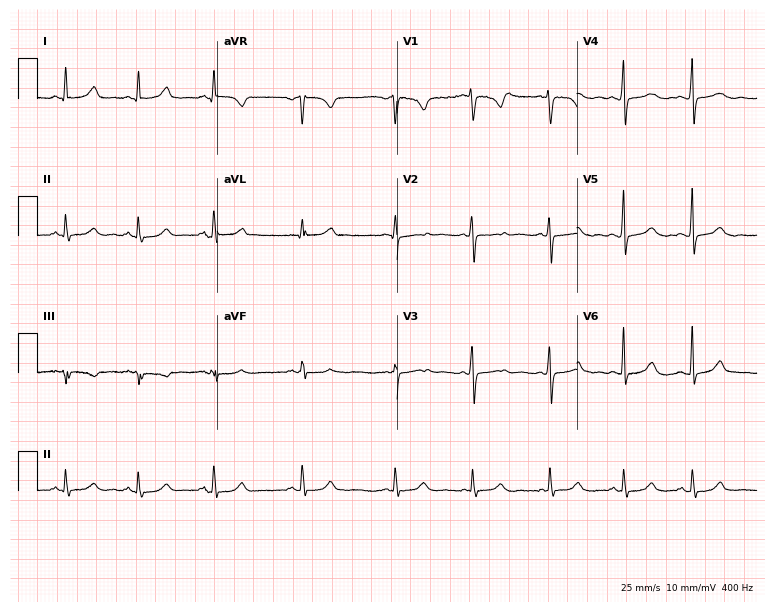
12-lead ECG from a 27-year-old woman. Labelled as a normal ECG.